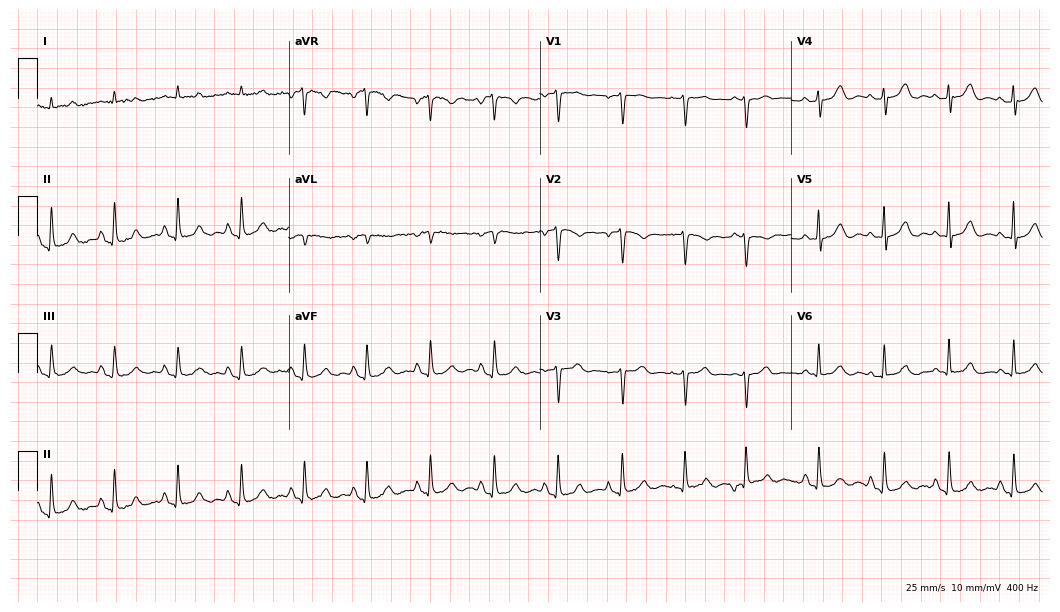
12-lead ECG from a man, 71 years old. Recorded interpretation: within normal limits.